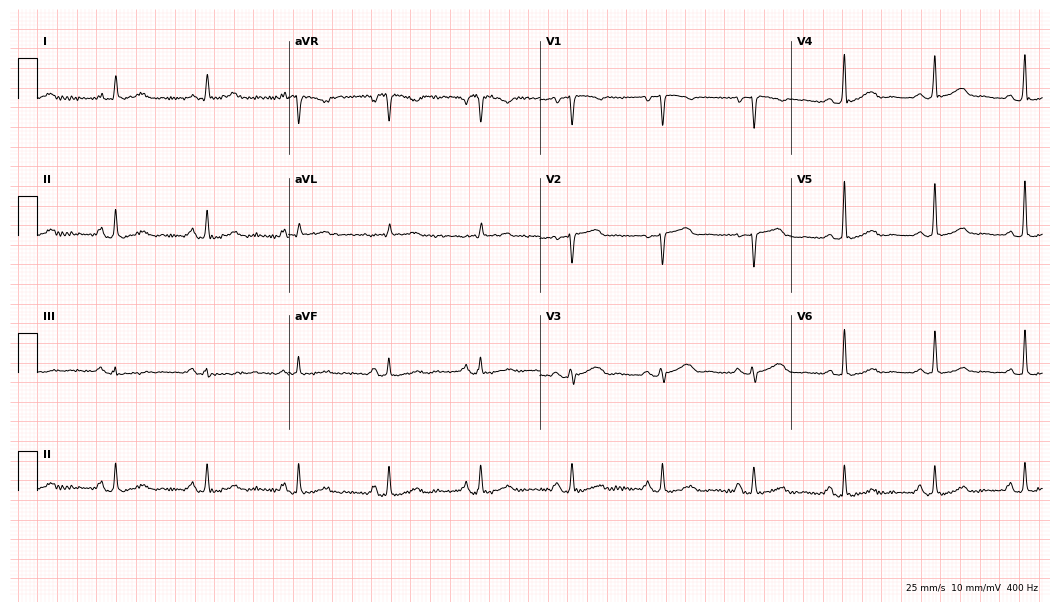
Resting 12-lead electrocardiogram (10.2-second recording at 400 Hz). Patient: a 56-year-old female. Read as a normal ECG.